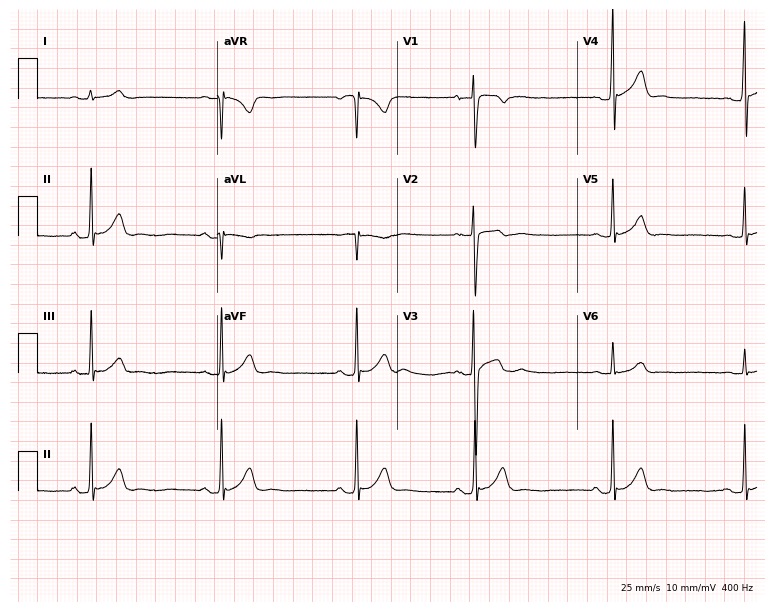
Standard 12-lead ECG recorded from a 24-year-old male (7.3-second recording at 400 Hz). Read as a normal ECG.